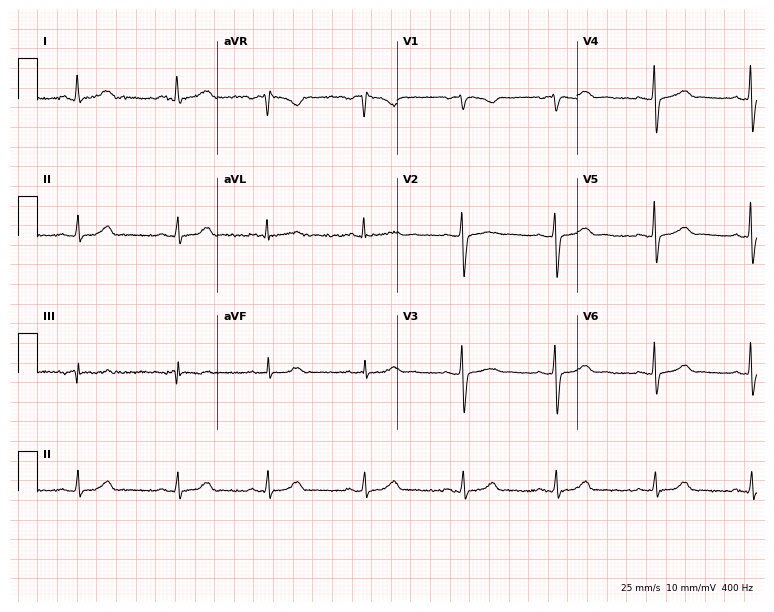
ECG (7.3-second recording at 400 Hz) — a 41-year-old woman. Labelled as a normal ECG.